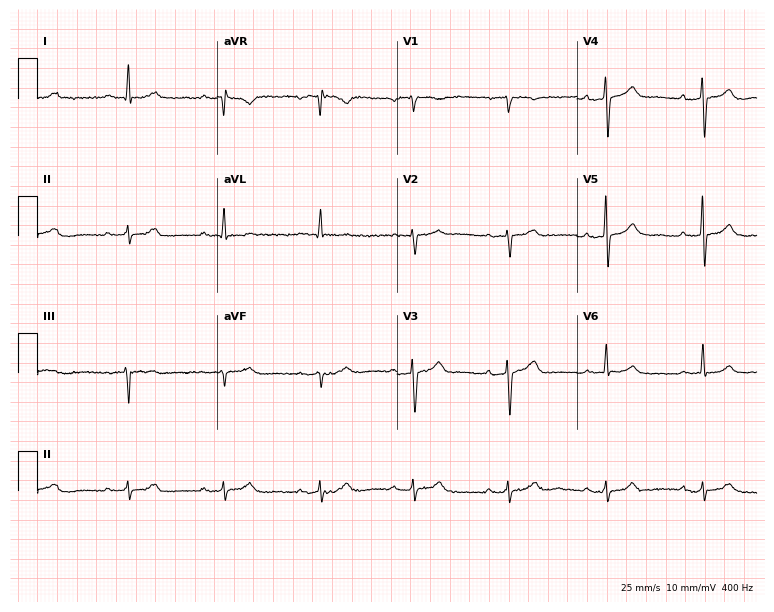
ECG (7.3-second recording at 400 Hz) — a 67-year-old male. Screened for six findings — first-degree AV block, right bundle branch block (RBBB), left bundle branch block (LBBB), sinus bradycardia, atrial fibrillation (AF), sinus tachycardia — none is recorded. Findings outside these six are not listed.